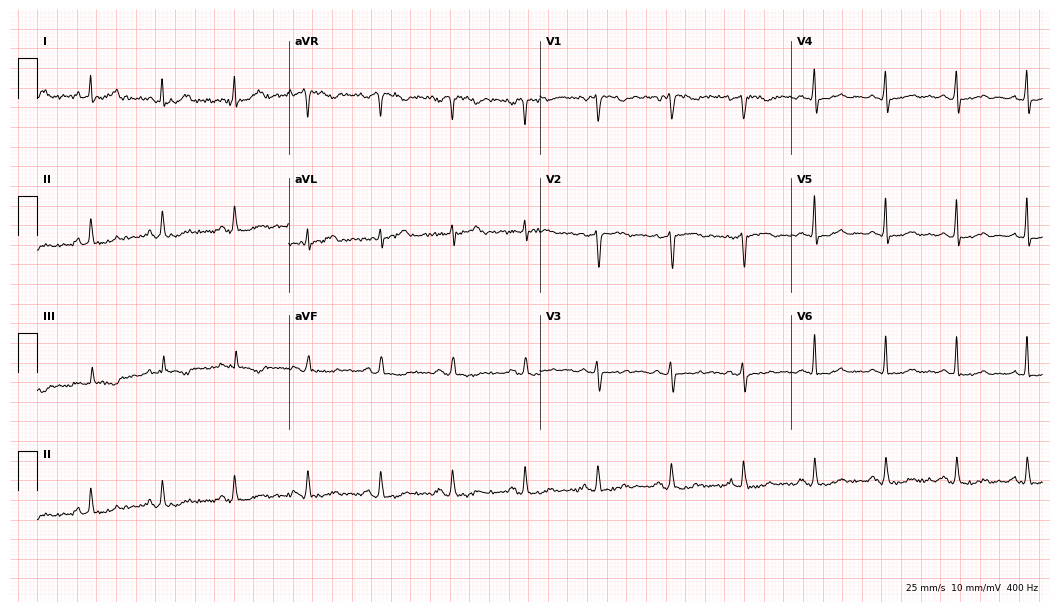
Standard 12-lead ECG recorded from a 50-year-old female patient (10.2-second recording at 400 Hz). None of these six findings is recorded: first-degree AV block, right bundle branch block, left bundle branch block, sinus bradycardia, atrial fibrillation, sinus tachycardia.